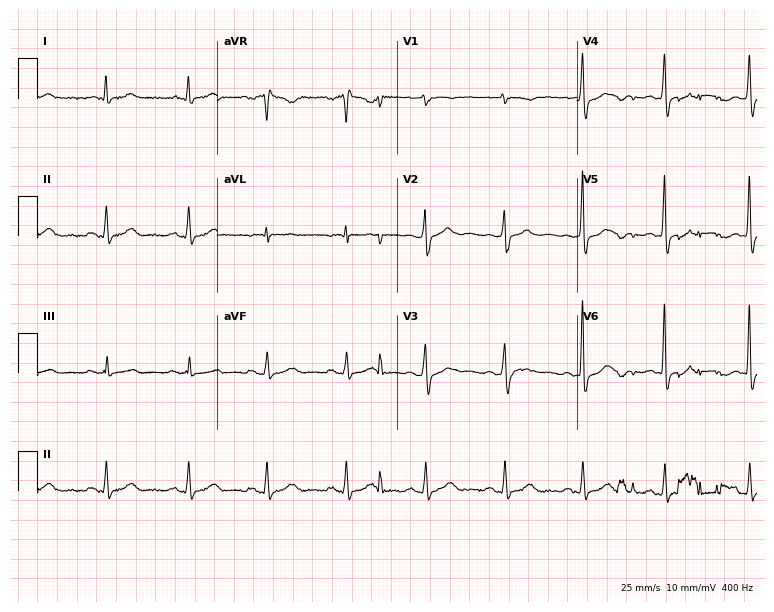
Electrocardiogram (7.3-second recording at 400 Hz), a 50-year-old male. Of the six screened findings (first-degree AV block, right bundle branch block (RBBB), left bundle branch block (LBBB), sinus bradycardia, atrial fibrillation (AF), sinus tachycardia), none is recorded. Only these six findings were labelled.